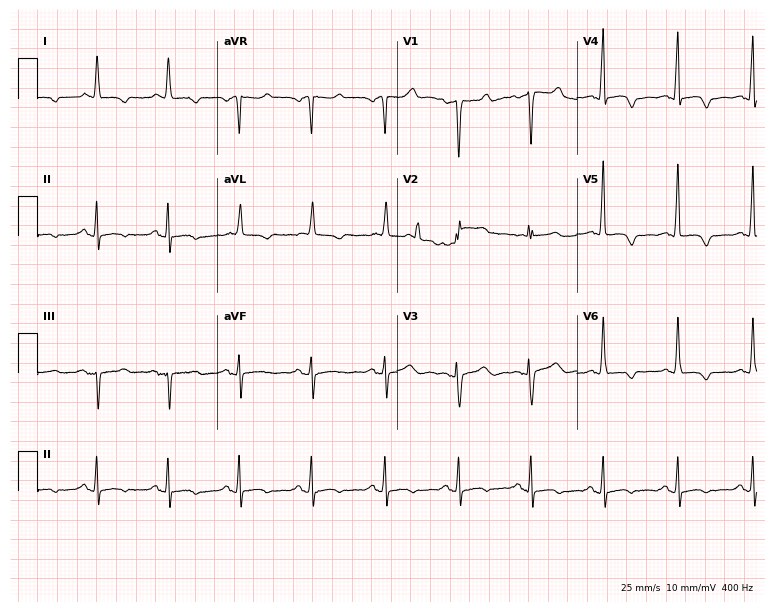
12-lead ECG from a female patient, 66 years old. Screened for six findings — first-degree AV block, right bundle branch block (RBBB), left bundle branch block (LBBB), sinus bradycardia, atrial fibrillation (AF), sinus tachycardia — none is recorded. Other findings, if any, are not listed.